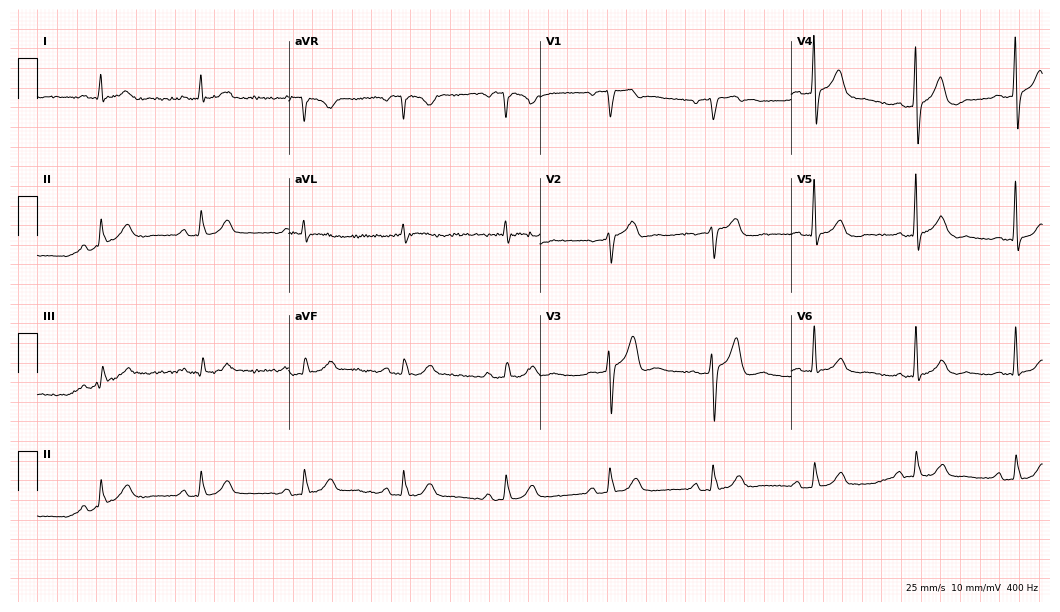
Resting 12-lead electrocardiogram (10.2-second recording at 400 Hz). Patient: a man, 65 years old. Read as a normal ECG.